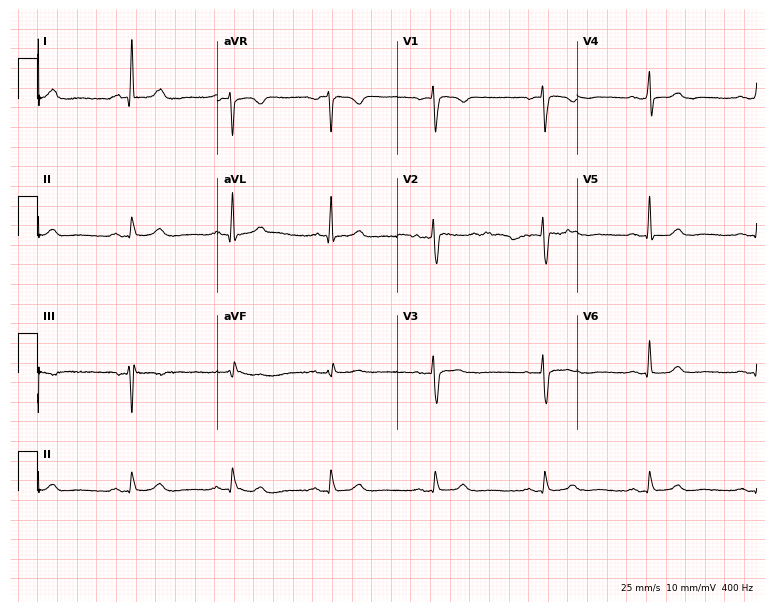
12-lead ECG from a 62-year-old female patient. Screened for six findings — first-degree AV block, right bundle branch block, left bundle branch block, sinus bradycardia, atrial fibrillation, sinus tachycardia — none is recorded.